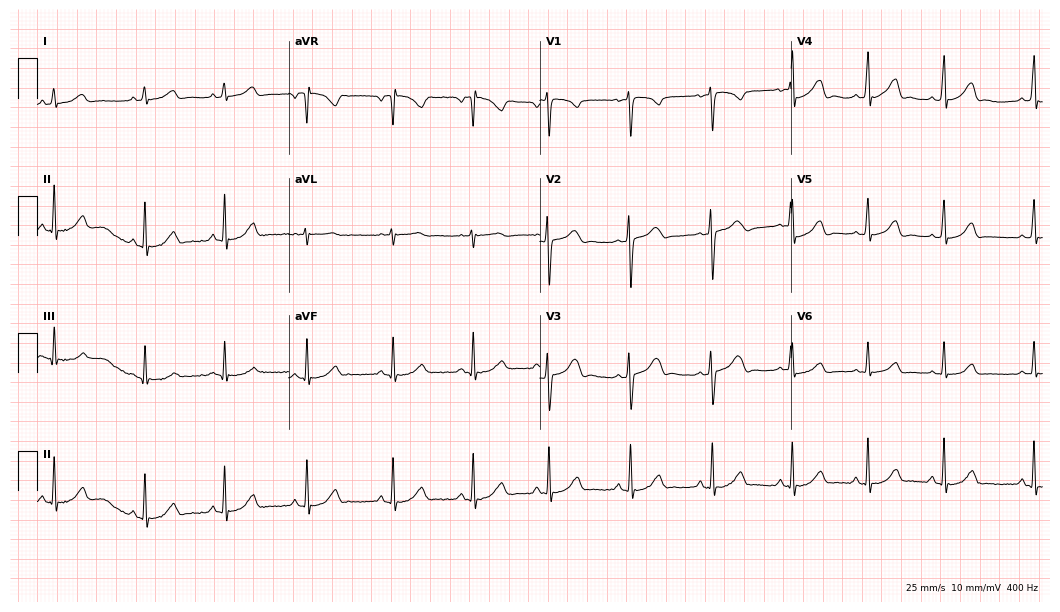
12-lead ECG (10.2-second recording at 400 Hz) from a female, 19 years old. Labelled as a normal ECG.